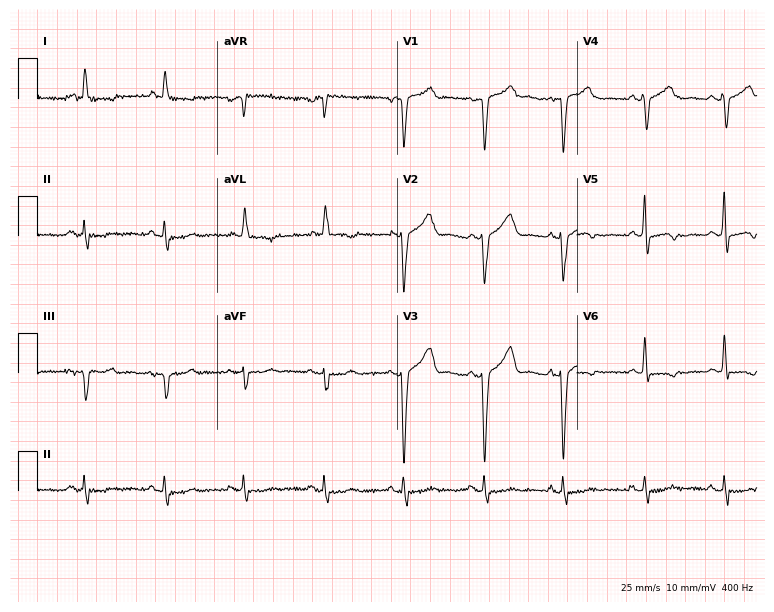
Standard 12-lead ECG recorded from a 69-year-old male. None of these six findings is recorded: first-degree AV block, right bundle branch block (RBBB), left bundle branch block (LBBB), sinus bradycardia, atrial fibrillation (AF), sinus tachycardia.